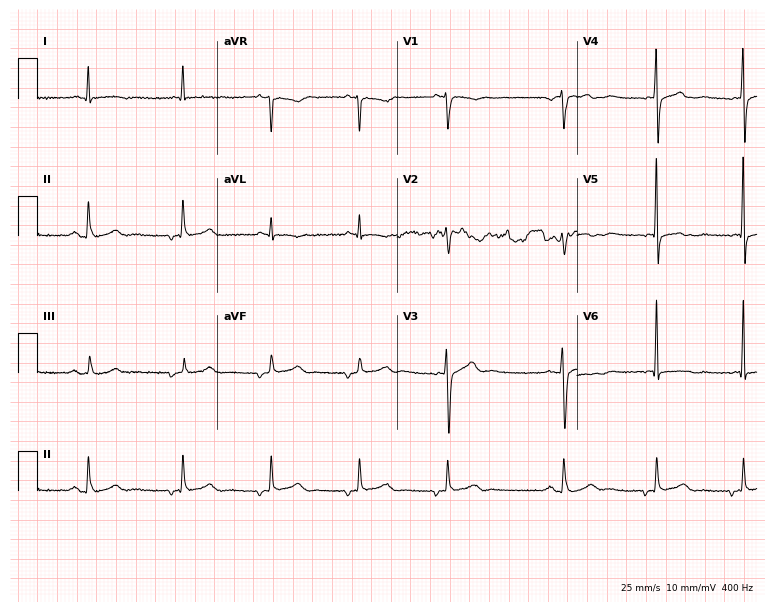
ECG — a man, 73 years old. Screened for six findings — first-degree AV block, right bundle branch block (RBBB), left bundle branch block (LBBB), sinus bradycardia, atrial fibrillation (AF), sinus tachycardia — none is recorded.